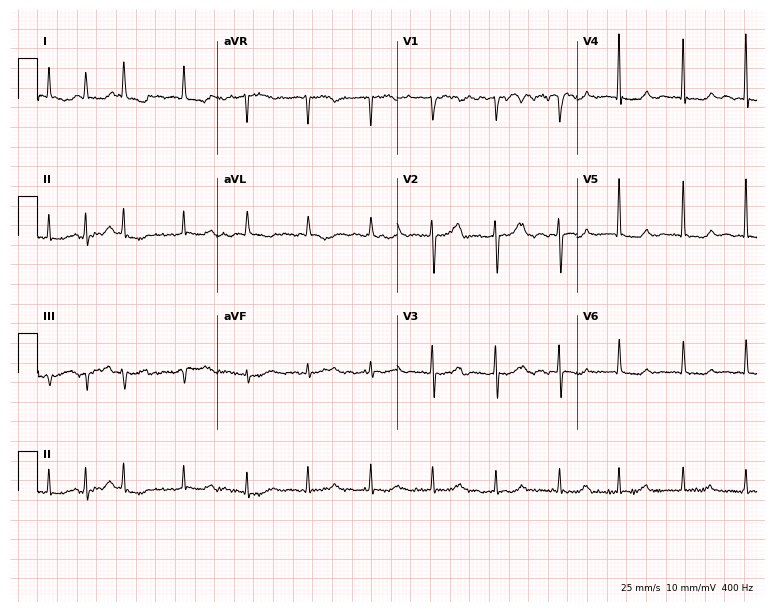
Standard 12-lead ECG recorded from an 80-year-old female. The tracing shows atrial fibrillation.